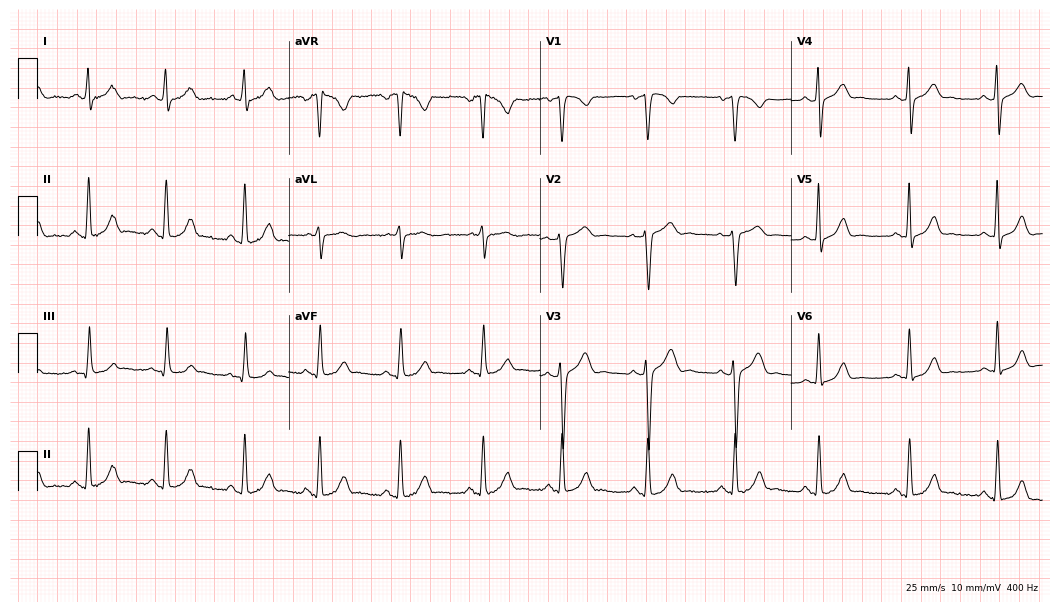
ECG (10.2-second recording at 400 Hz) — a female patient, 25 years old. Screened for six findings — first-degree AV block, right bundle branch block, left bundle branch block, sinus bradycardia, atrial fibrillation, sinus tachycardia — none is recorded. Findings outside these six are not listed.